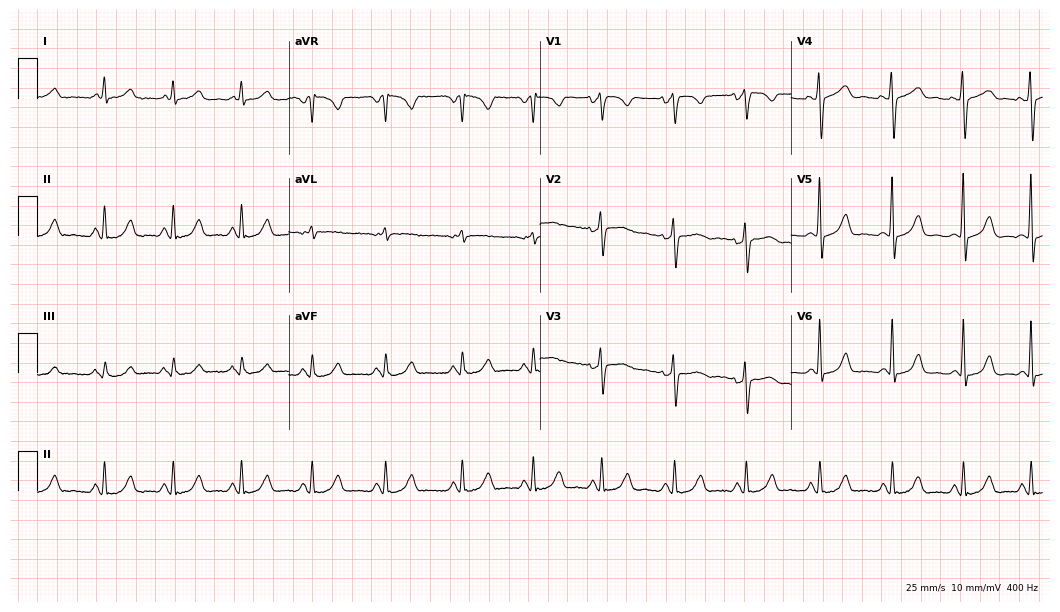
12-lead ECG from a 46-year-old female patient. Screened for six findings — first-degree AV block, right bundle branch block, left bundle branch block, sinus bradycardia, atrial fibrillation, sinus tachycardia — none is recorded.